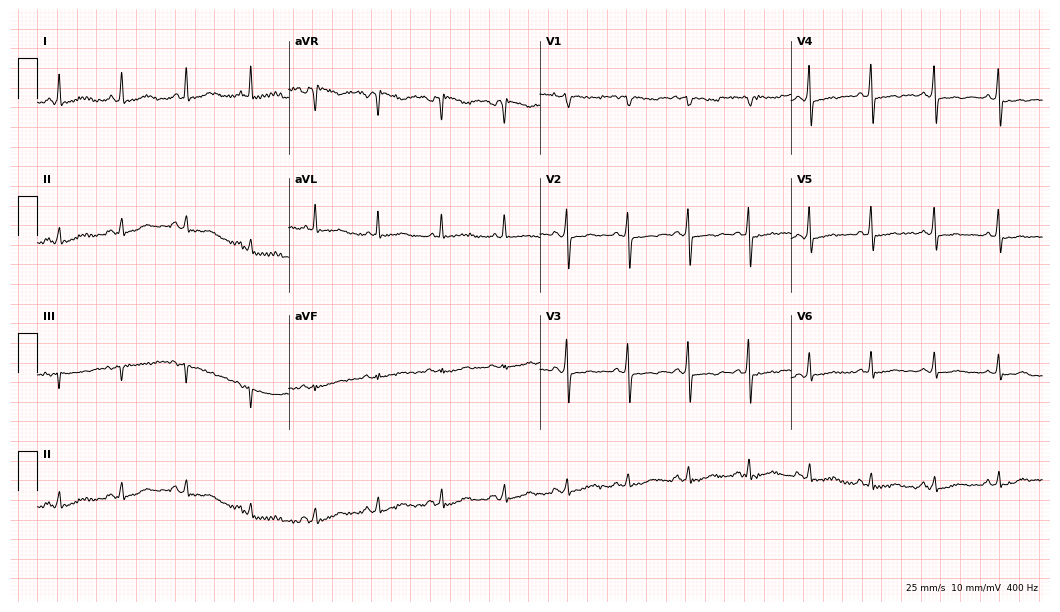
Standard 12-lead ECG recorded from a 55-year-old woman (10.2-second recording at 400 Hz). None of these six findings is recorded: first-degree AV block, right bundle branch block (RBBB), left bundle branch block (LBBB), sinus bradycardia, atrial fibrillation (AF), sinus tachycardia. Only these six findings were labelled.